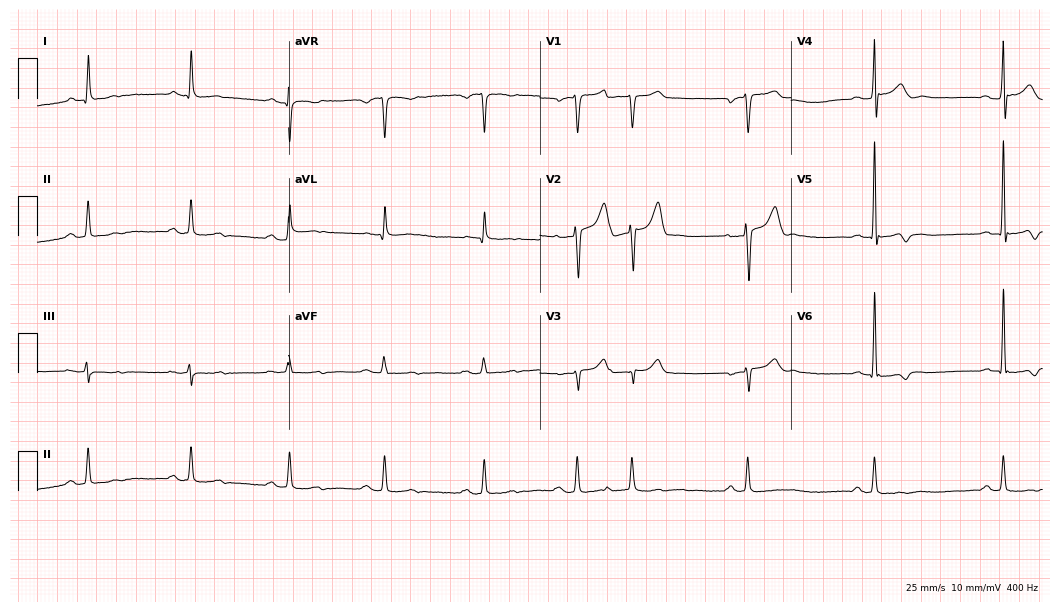
Electrocardiogram (10.2-second recording at 400 Hz), a male patient, 72 years old. Of the six screened findings (first-degree AV block, right bundle branch block, left bundle branch block, sinus bradycardia, atrial fibrillation, sinus tachycardia), none is recorded. Other findings, if any, are not listed.